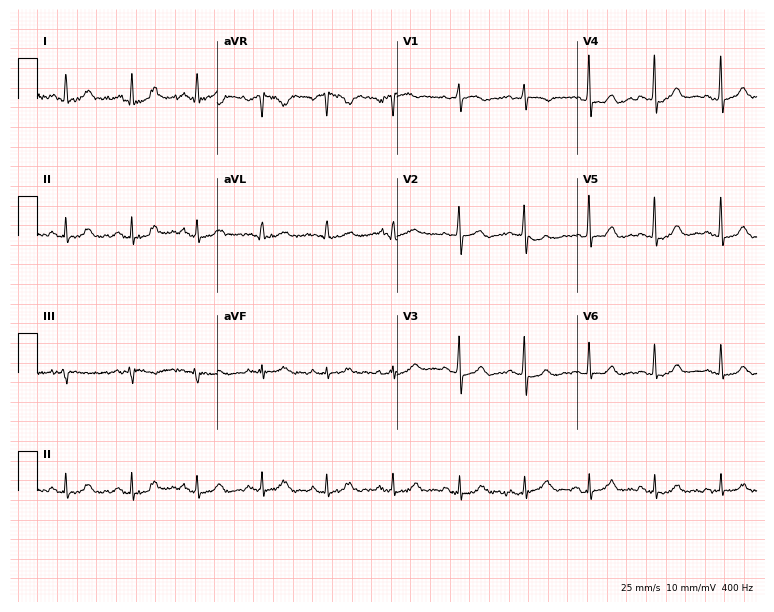
12-lead ECG from an 83-year-old male (7.3-second recording at 400 Hz). Recorded interpretation: within normal limits.